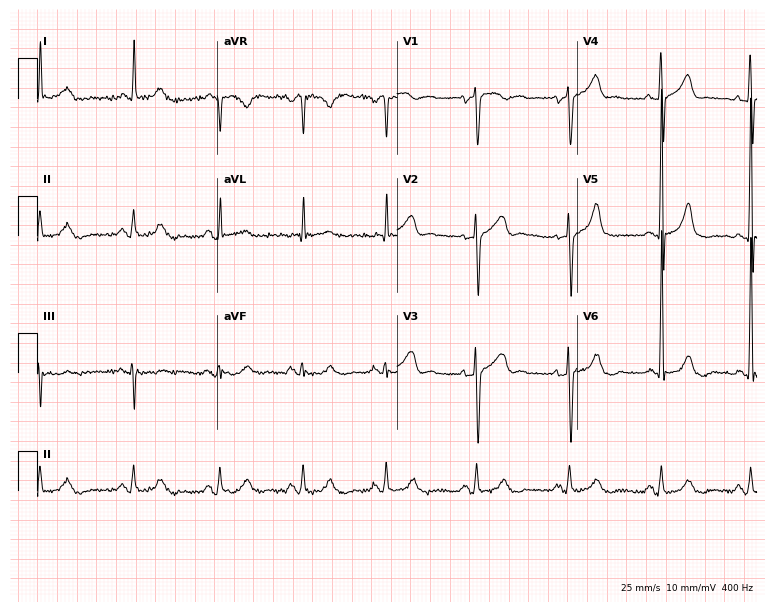
Standard 12-lead ECG recorded from a male, 85 years old. None of these six findings is recorded: first-degree AV block, right bundle branch block, left bundle branch block, sinus bradycardia, atrial fibrillation, sinus tachycardia. Findings outside these six are not listed.